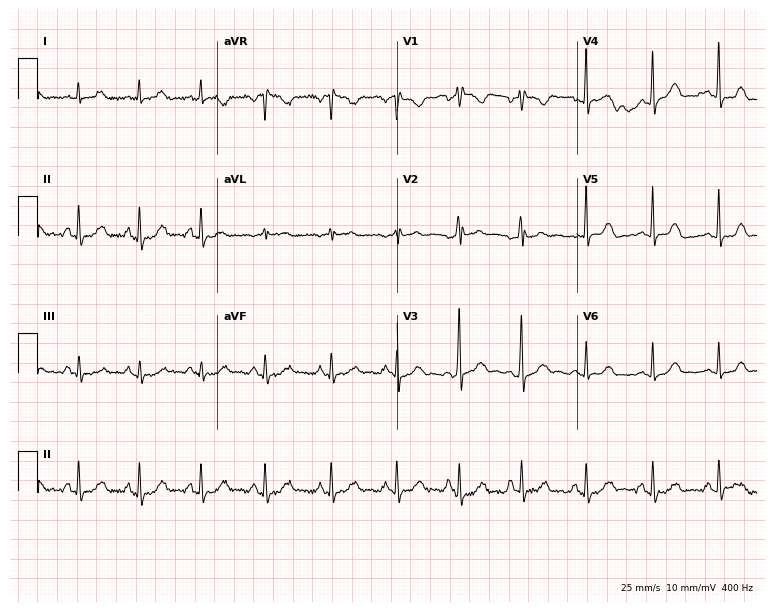
Electrocardiogram, a 37-year-old female. Of the six screened findings (first-degree AV block, right bundle branch block (RBBB), left bundle branch block (LBBB), sinus bradycardia, atrial fibrillation (AF), sinus tachycardia), none is recorded. Only these six findings were labelled.